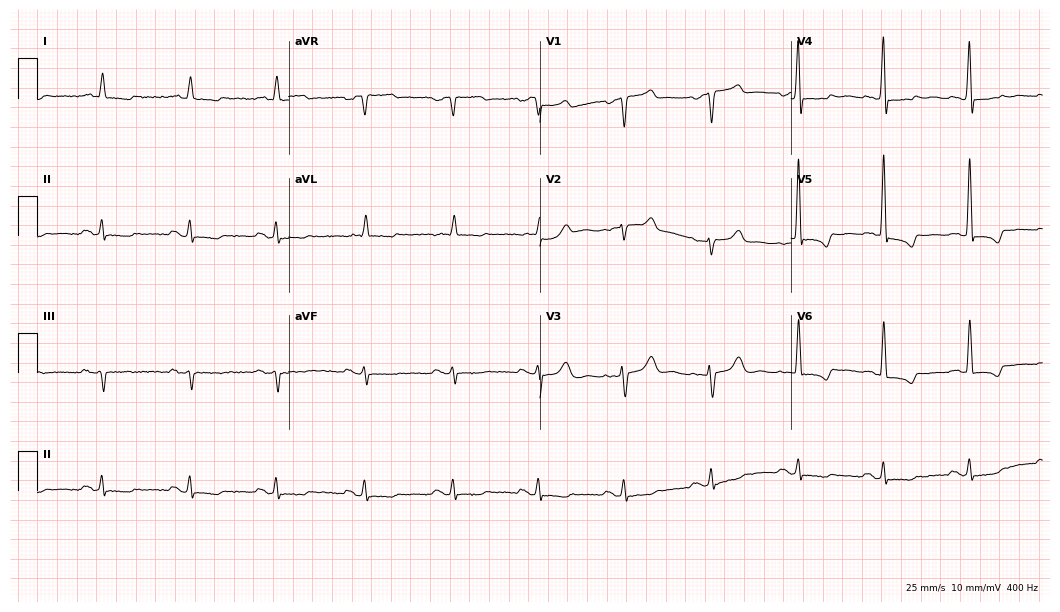
12-lead ECG (10.2-second recording at 400 Hz) from a 62-year-old female patient. Screened for six findings — first-degree AV block, right bundle branch block, left bundle branch block, sinus bradycardia, atrial fibrillation, sinus tachycardia — none is recorded.